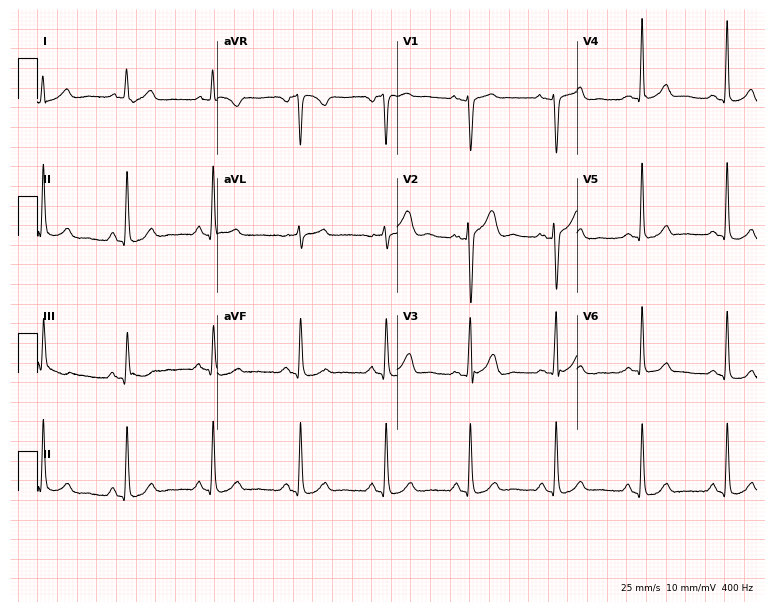
Electrocardiogram (7.3-second recording at 400 Hz), a male patient, 54 years old. Overall reading on record: normal ECG.